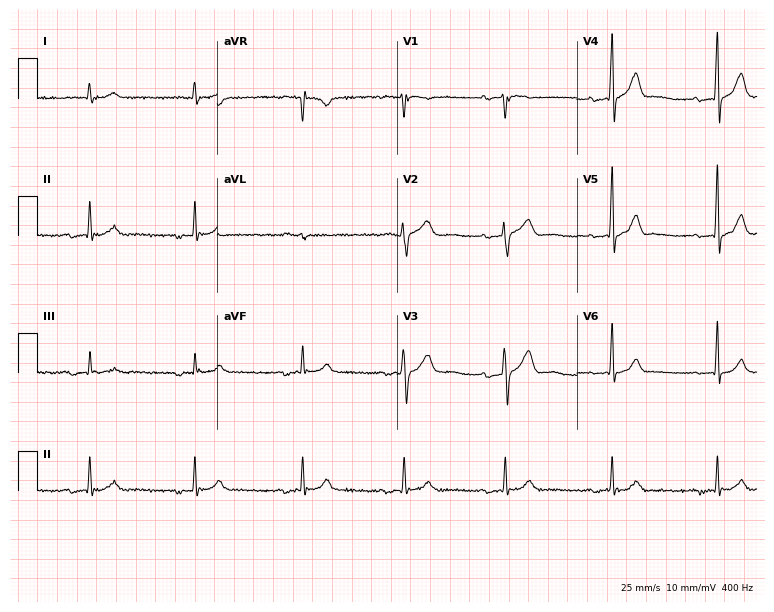
Standard 12-lead ECG recorded from a 73-year-old male patient. Read as a normal ECG.